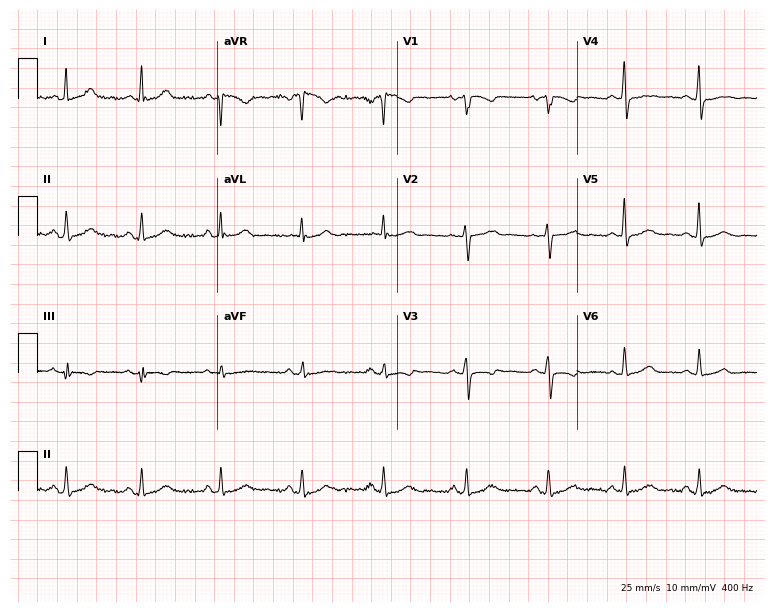
12-lead ECG from a 63-year-old woman. Labelled as a normal ECG.